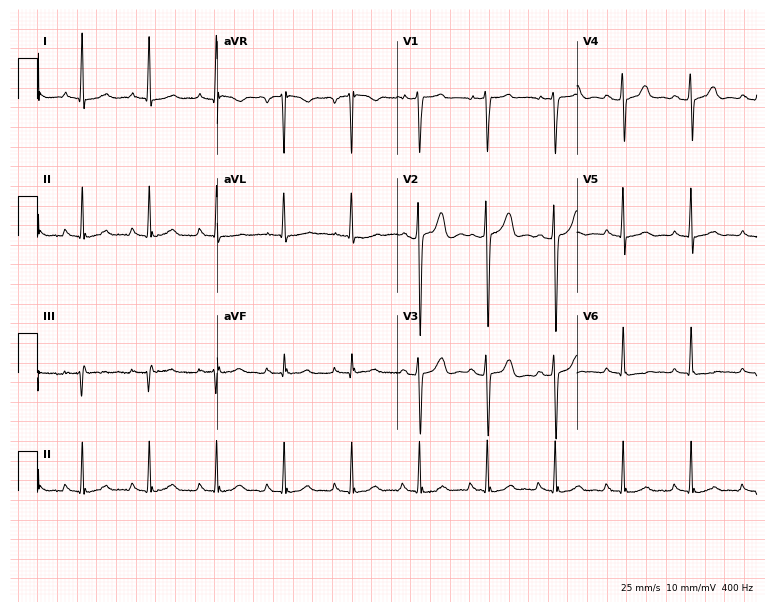
ECG (7.3-second recording at 400 Hz) — a female, 41 years old. Screened for six findings — first-degree AV block, right bundle branch block, left bundle branch block, sinus bradycardia, atrial fibrillation, sinus tachycardia — none is recorded. Other findings, if any, are not listed.